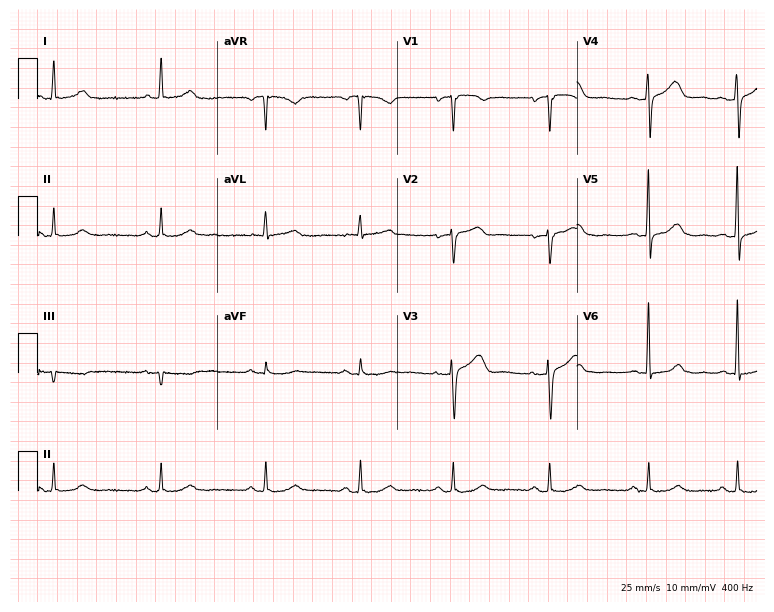
12-lead ECG from a 73-year-old female (7.3-second recording at 400 Hz). Recorded interpretation: within normal limits.